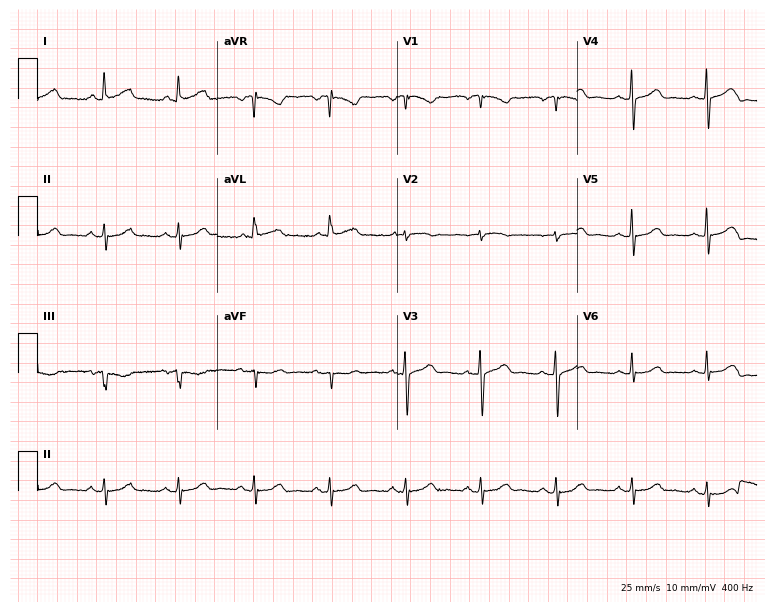
12-lead ECG from a female, 65 years old. Labelled as a normal ECG.